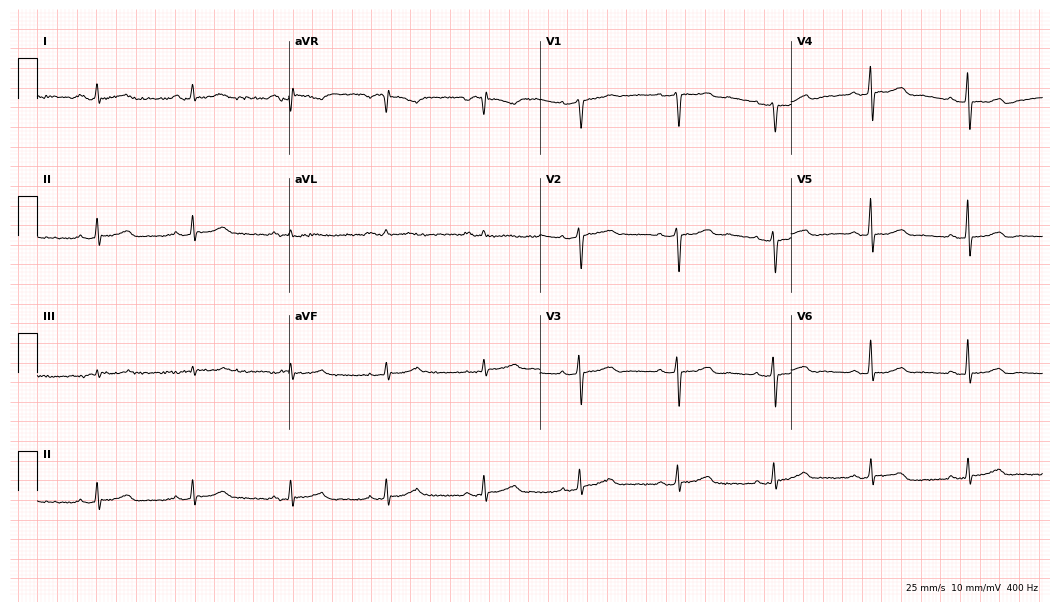
Resting 12-lead electrocardiogram (10.2-second recording at 400 Hz). Patient: a female, 71 years old. Read as a normal ECG.